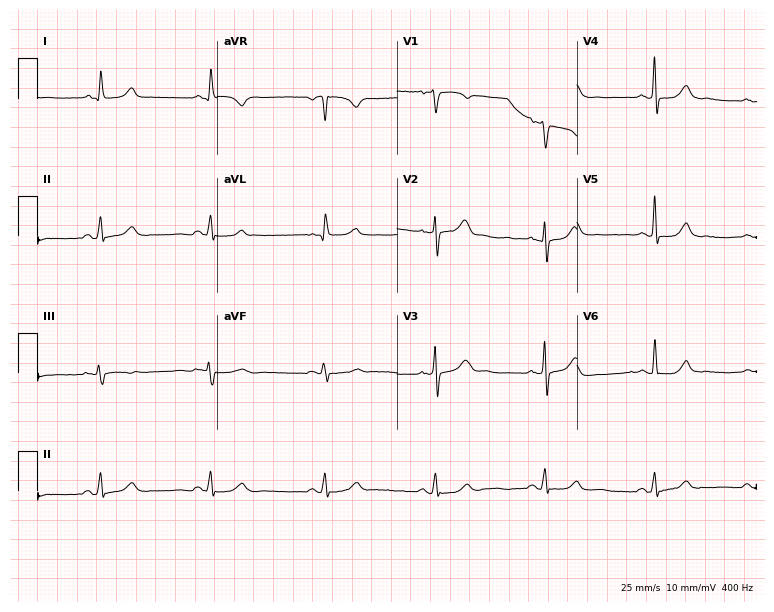
Electrocardiogram, a 54-year-old woman. Of the six screened findings (first-degree AV block, right bundle branch block (RBBB), left bundle branch block (LBBB), sinus bradycardia, atrial fibrillation (AF), sinus tachycardia), none is recorded.